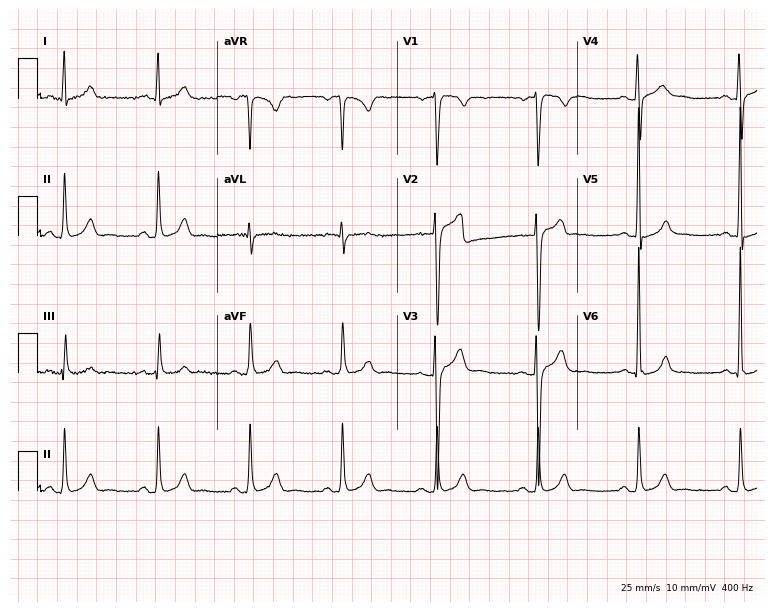
Electrocardiogram, a male, 22 years old. Overall reading on record: normal ECG.